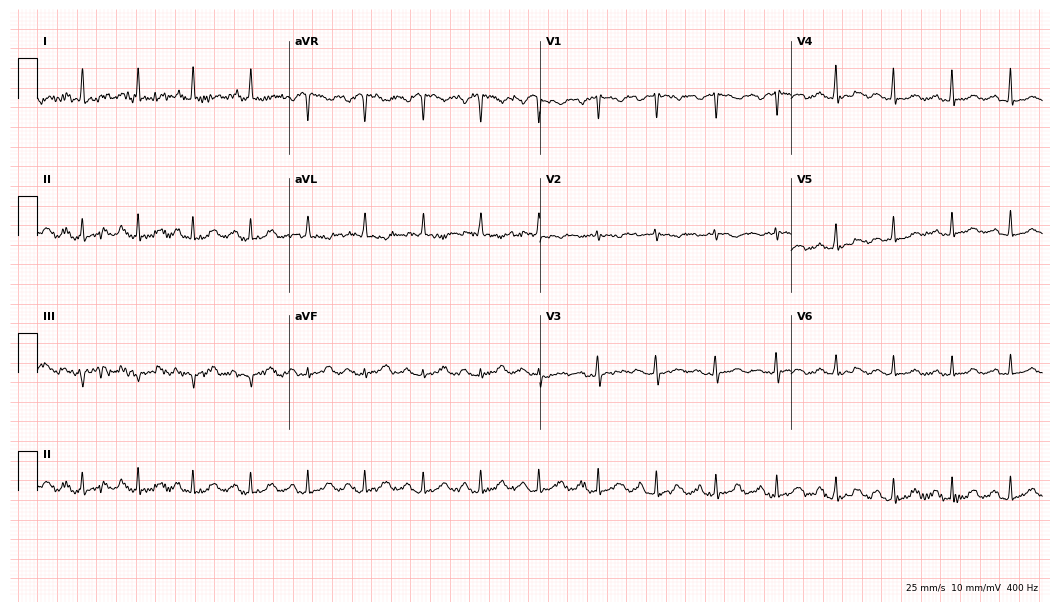
Resting 12-lead electrocardiogram (10.2-second recording at 400 Hz). Patient: a 41-year-old female. None of these six findings is recorded: first-degree AV block, right bundle branch block, left bundle branch block, sinus bradycardia, atrial fibrillation, sinus tachycardia.